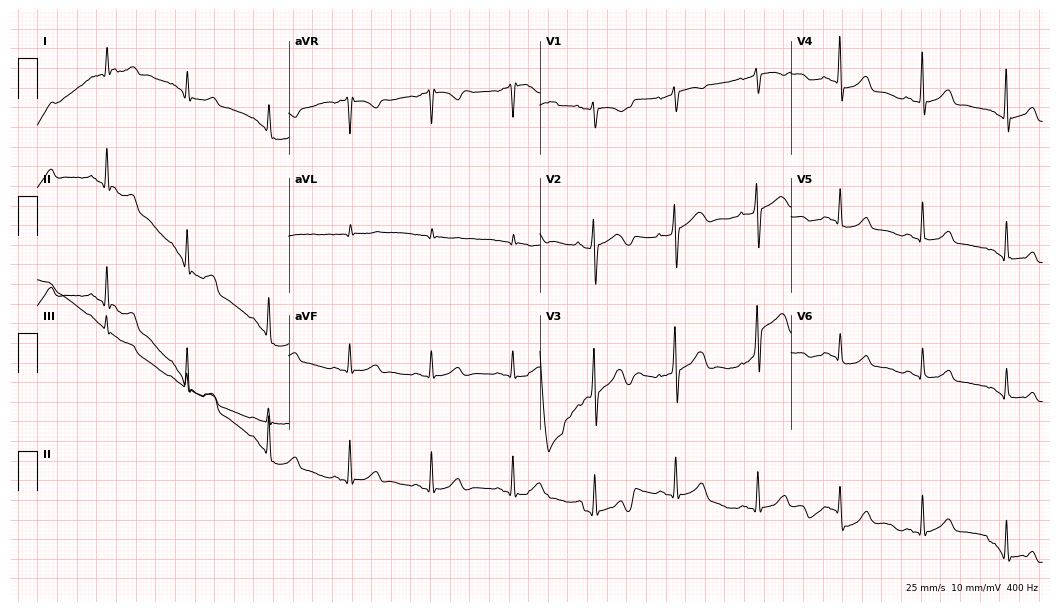
ECG (10.2-second recording at 400 Hz) — a 52-year-old male patient. Labelled as a normal ECG.